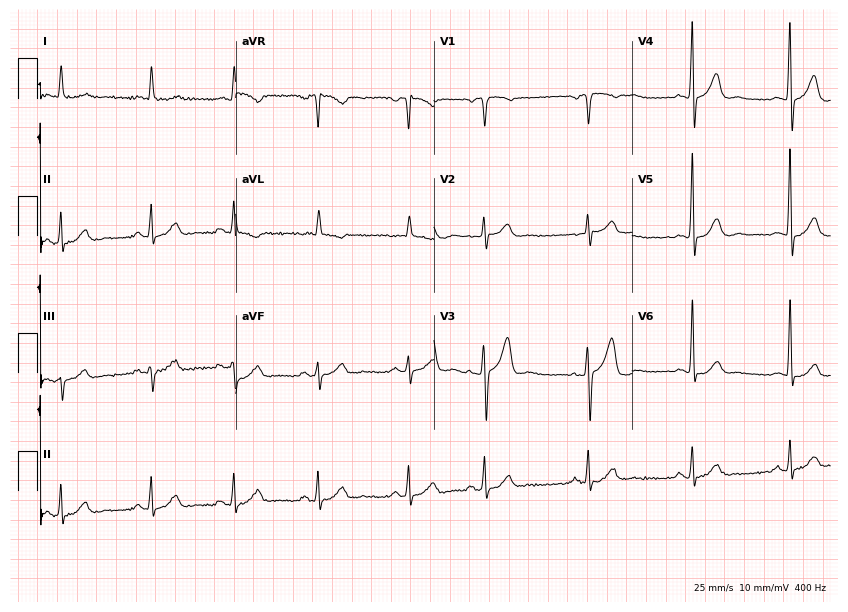
Resting 12-lead electrocardiogram. Patient: a man, 68 years old. None of these six findings is recorded: first-degree AV block, right bundle branch block, left bundle branch block, sinus bradycardia, atrial fibrillation, sinus tachycardia. Findings outside these six are not listed.